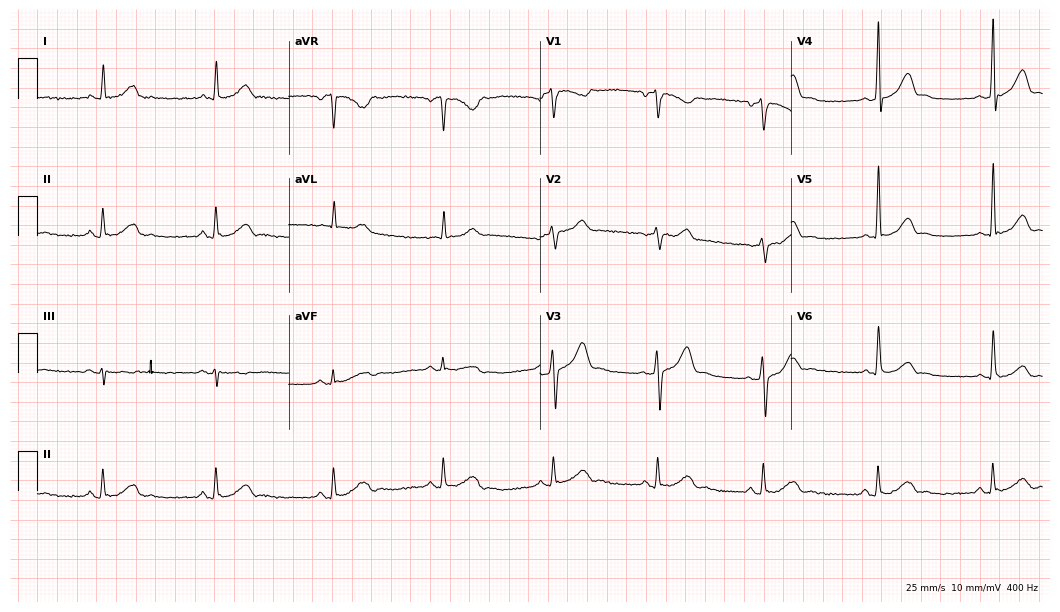
12-lead ECG from a 48-year-old male patient (10.2-second recording at 400 Hz). No first-degree AV block, right bundle branch block, left bundle branch block, sinus bradycardia, atrial fibrillation or sinus tachycardia recorded for this tracing. Findings outside these six are not listed.